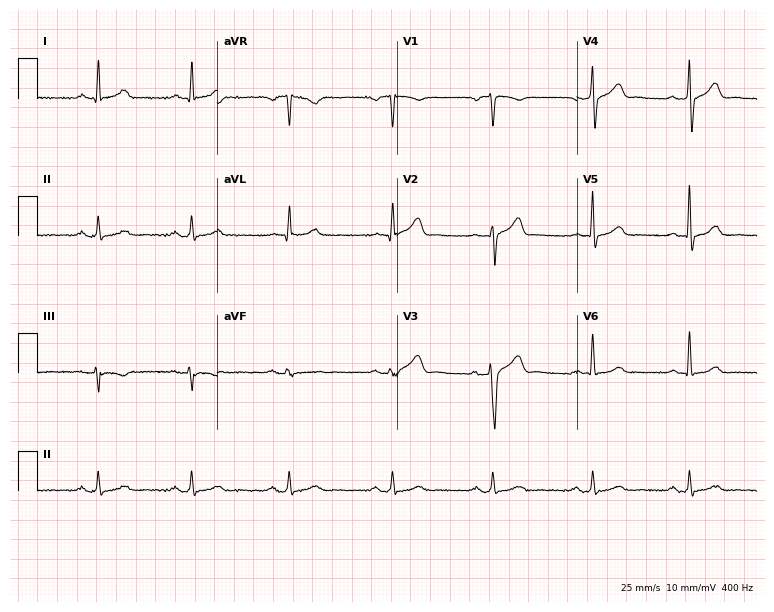
12-lead ECG (7.3-second recording at 400 Hz) from a man, 56 years old. Labelled as a normal ECG.